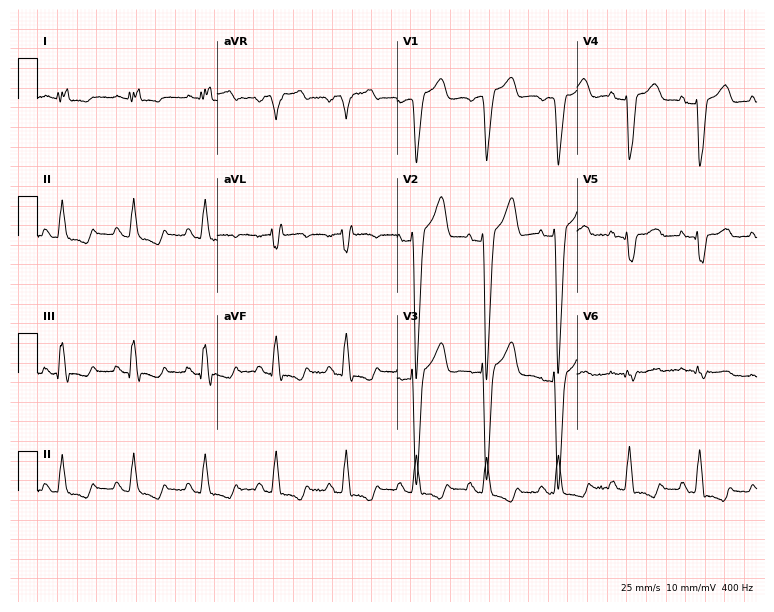
ECG — a 57-year-old female. Screened for six findings — first-degree AV block, right bundle branch block (RBBB), left bundle branch block (LBBB), sinus bradycardia, atrial fibrillation (AF), sinus tachycardia — none is recorded.